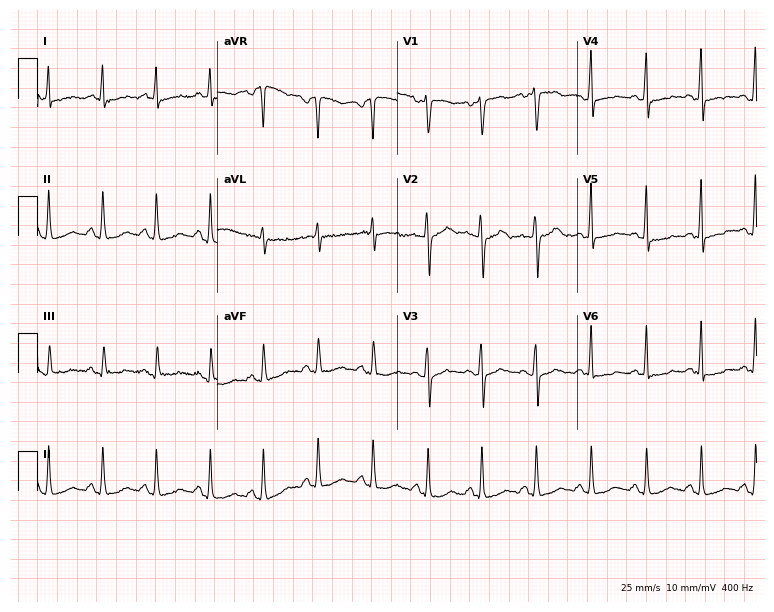
Electrocardiogram, a 53-year-old female patient. Interpretation includes sinus tachycardia (a sinus rate of 100 beats per minute or more).